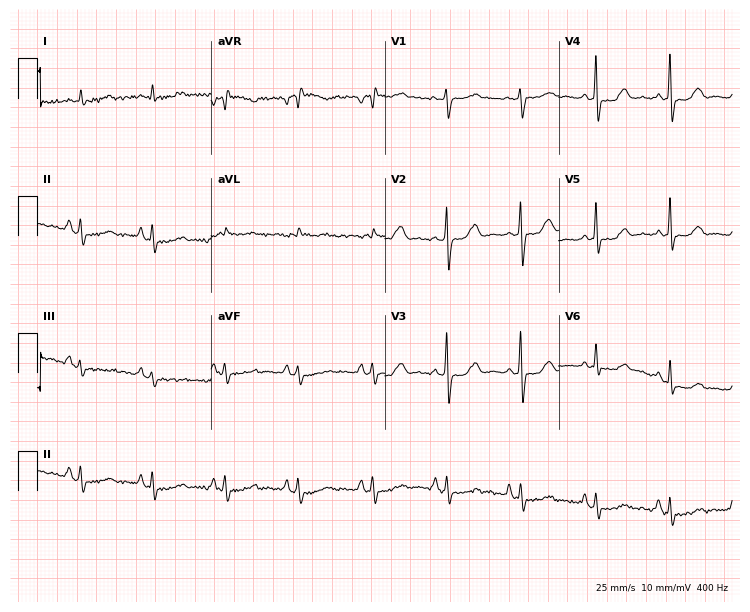
Electrocardiogram, a female, 73 years old. Of the six screened findings (first-degree AV block, right bundle branch block, left bundle branch block, sinus bradycardia, atrial fibrillation, sinus tachycardia), none is recorded.